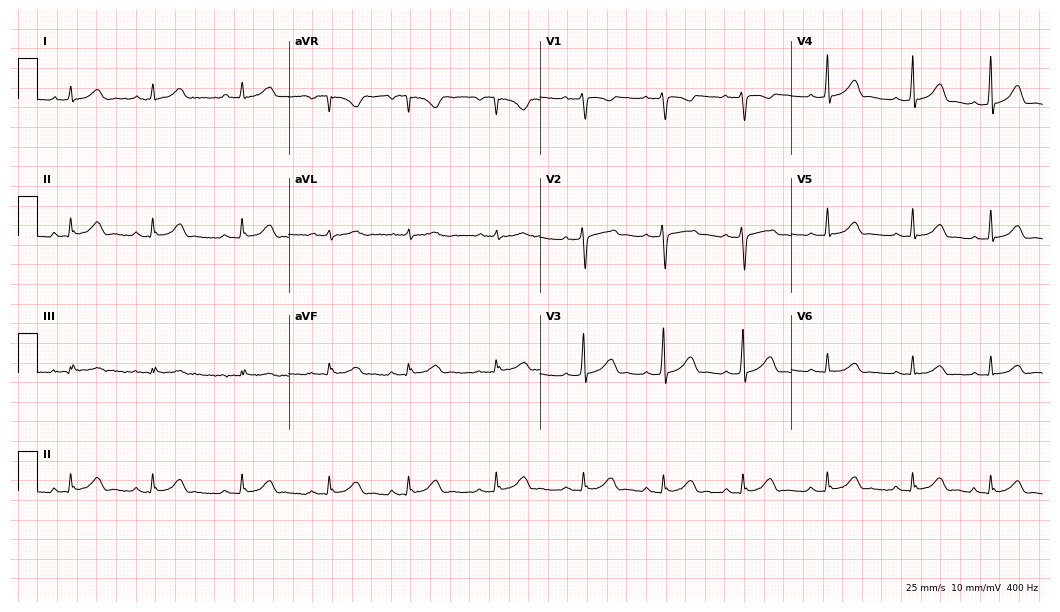
Standard 12-lead ECG recorded from an 18-year-old woman (10.2-second recording at 400 Hz). Read as a normal ECG.